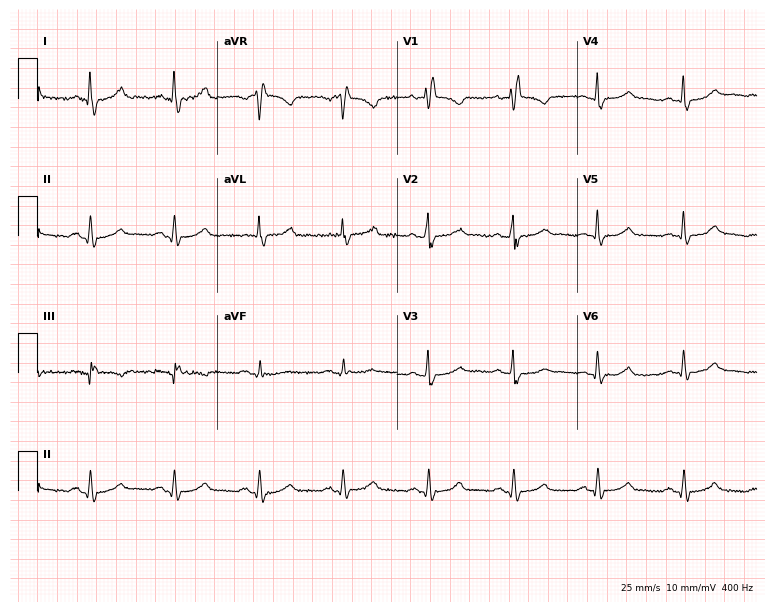
ECG — a 45-year-old female patient. Findings include right bundle branch block.